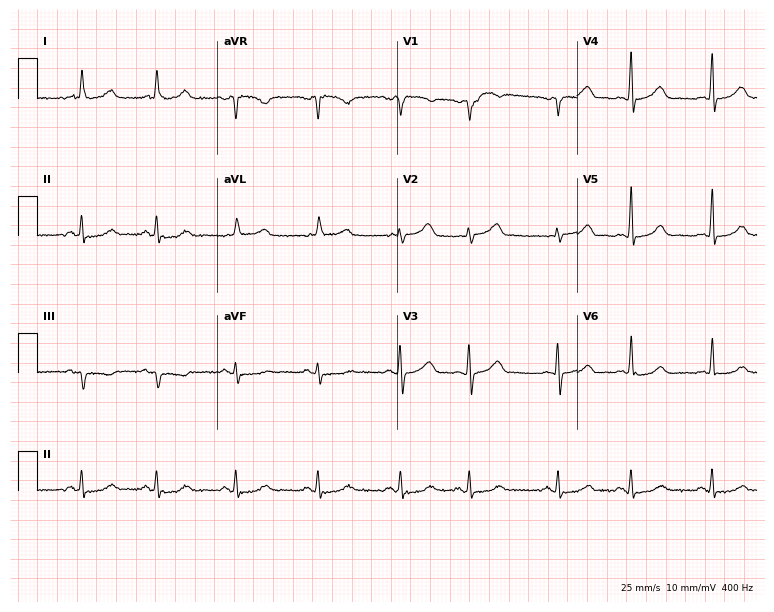
ECG (7.3-second recording at 400 Hz) — a female, 71 years old. Labelled as a normal ECG.